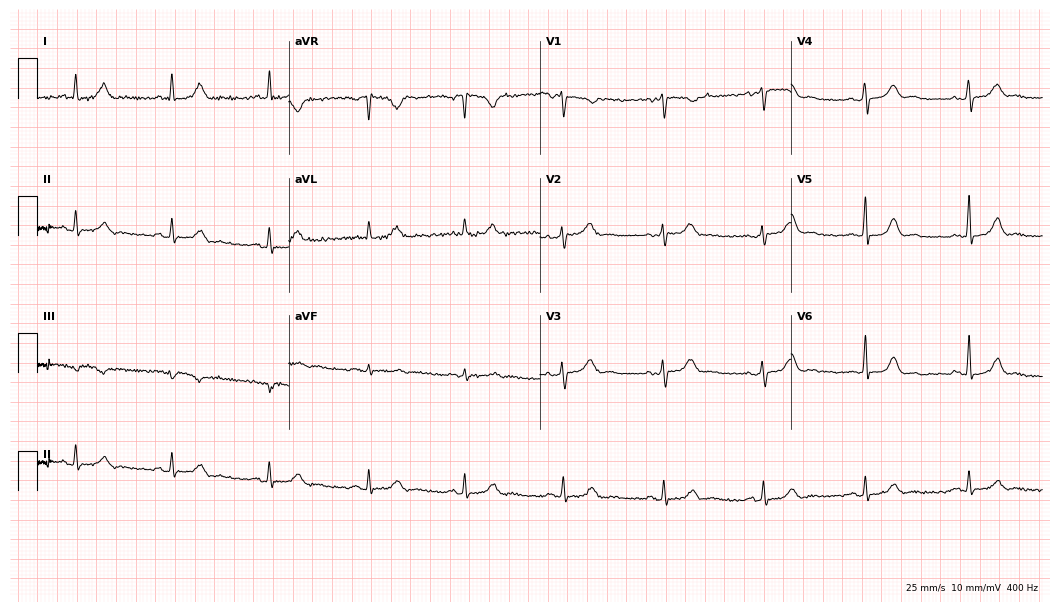
12-lead ECG from a female, 61 years old. Recorded interpretation: within normal limits.